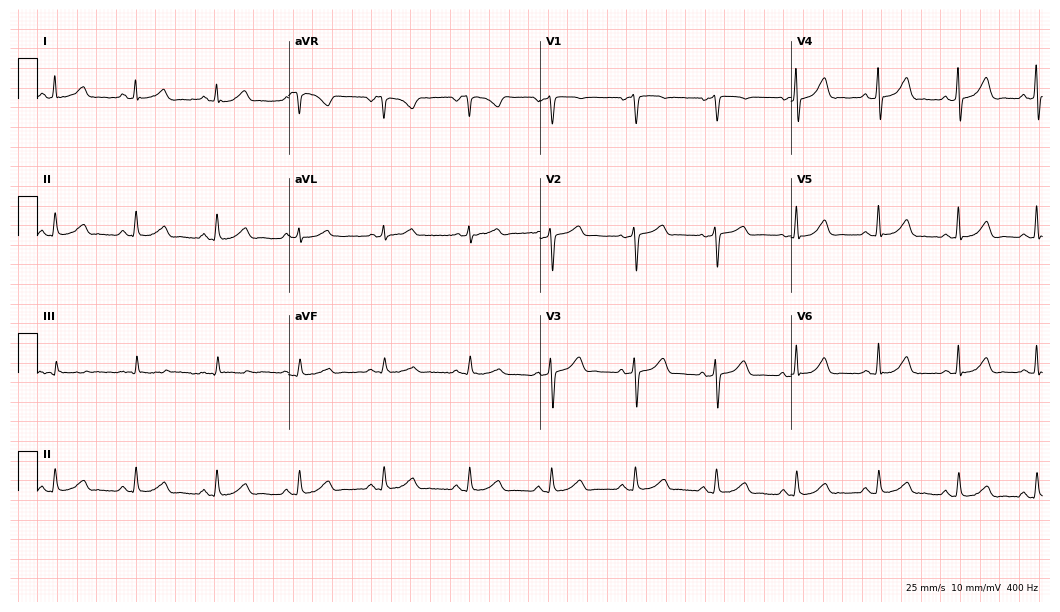
12-lead ECG from a female, 47 years old. Recorded interpretation: within normal limits.